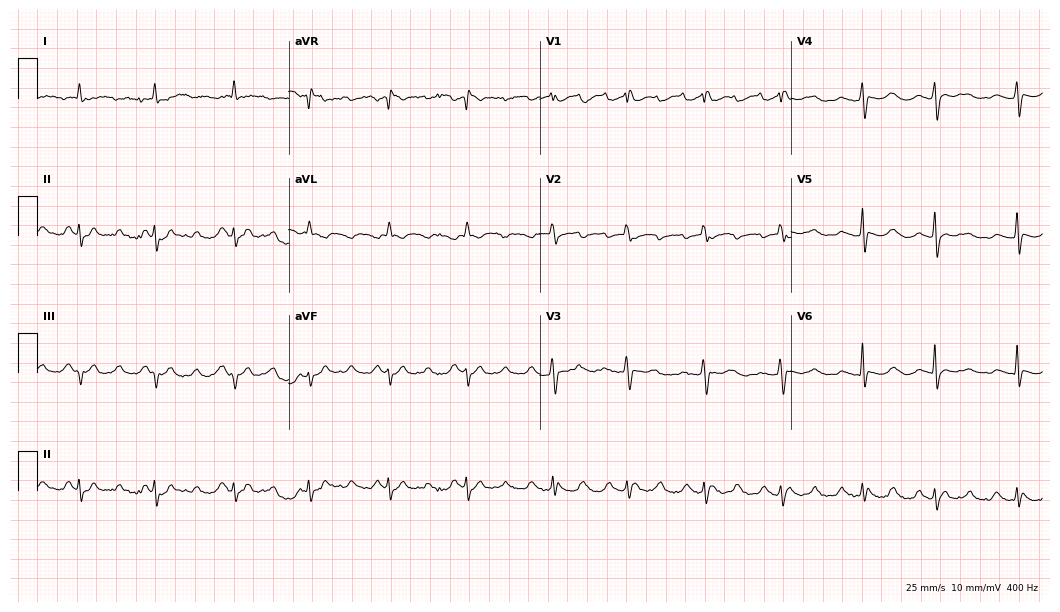
Resting 12-lead electrocardiogram (10.2-second recording at 400 Hz). Patient: a woman, 74 years old. None of these six findings is recorded: first-degree AV block, right bundle branch block (RBBB), left bundle branch block (LBBB), sinus bradycardia, atrial fibrillation (AF), sinus tachycardia. Only these six findings were labelled.